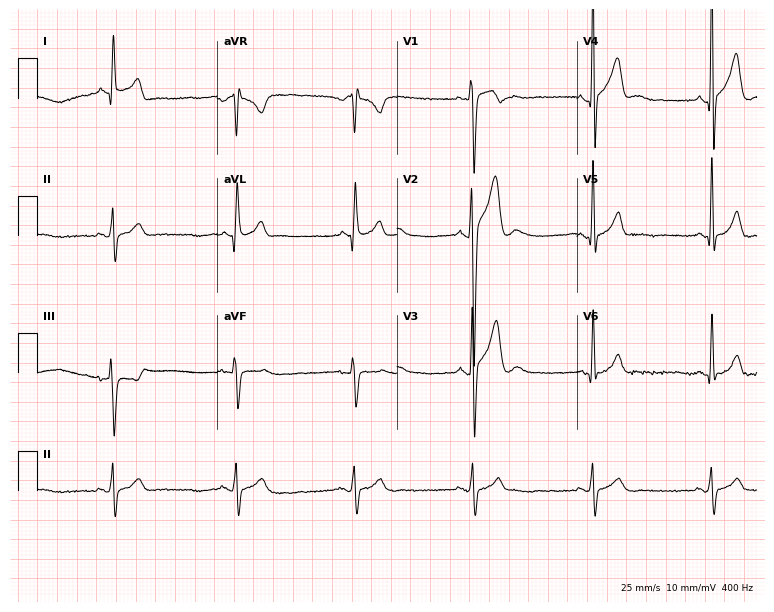
Standard 12-lead ECG recorded from an 18-year-old male. The tracing shows sinus bradycardia (a sinus rate of 50 beats per minute or less).